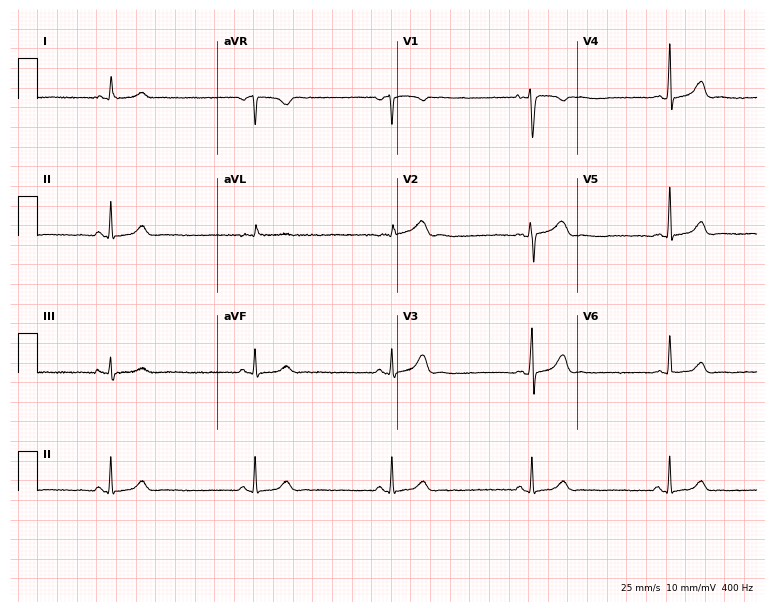
Standard 12-lead ECG recorded from a woman, 35 years old. None of these six findings is recorded: first-degree AV block, right bundle branch block, left bundle branch block, sinus bradycardia, atrial fibrillation, sinus tachycardia. Other findings, if any, are not listed.